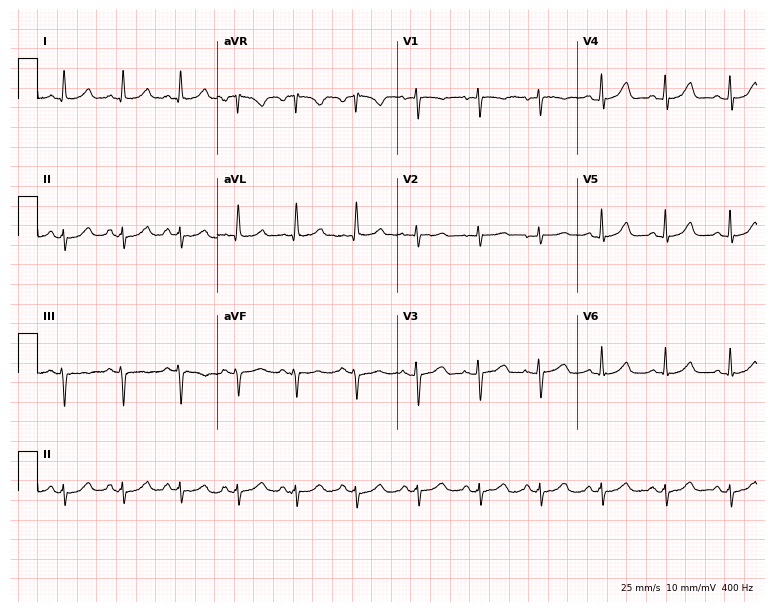
Resting 12-lead electrocardiogram. Patient: a 62-year-old female. None of these six findings is recorded: first-degree AV block, right bundle branch block, left bundle branch block, sinus bradycardia, atrial fibrillation, sinus tachycardia.